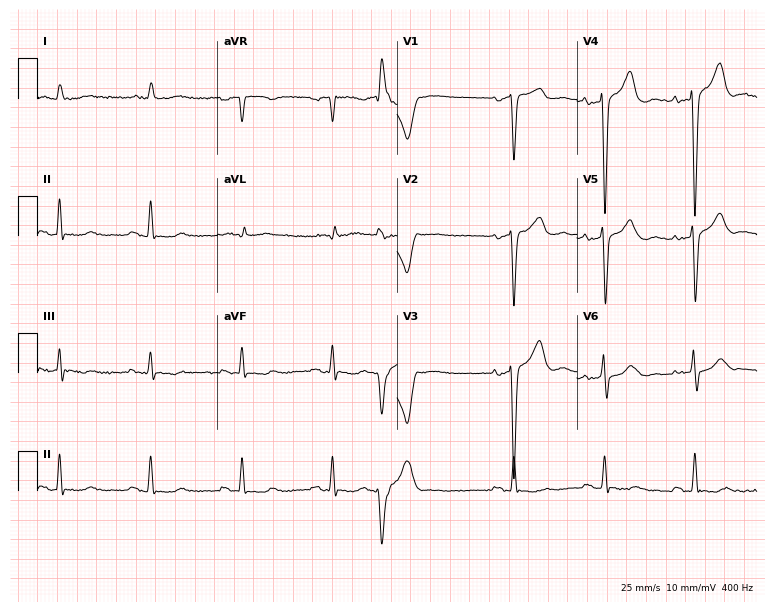
Resting 12-lead electrocardiogram (7.3-second recording at 400 Hz). Patient: an 80-year-old male. None of these six findings is recorded: first-degree AV block, right bundle branch block, left bundle branch block, sinus bradycardia, atrial fibrillation, sinus tachycardia. Only these six findings were labelled.